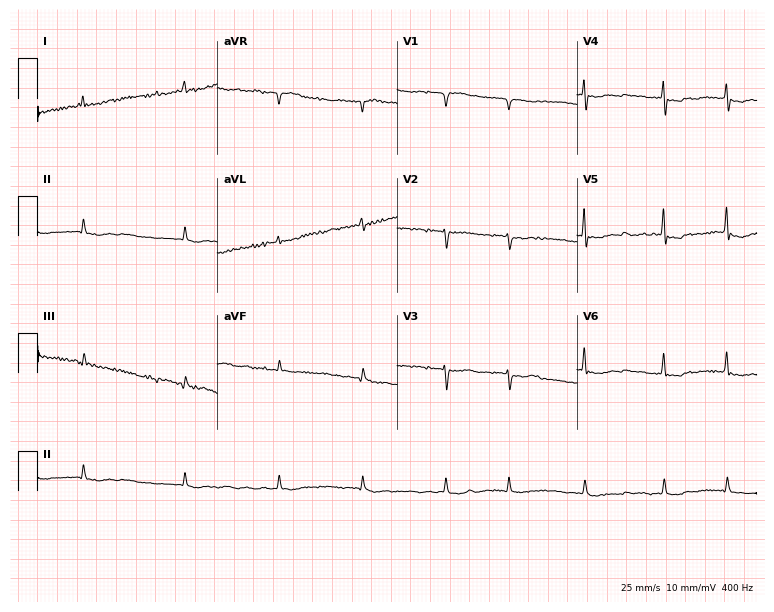
Resting 12-lead electrocardiogram (7.3-second recording at 400 Hz). Patient: a 73-year-old female. The tracing shows atrial fibrillation.